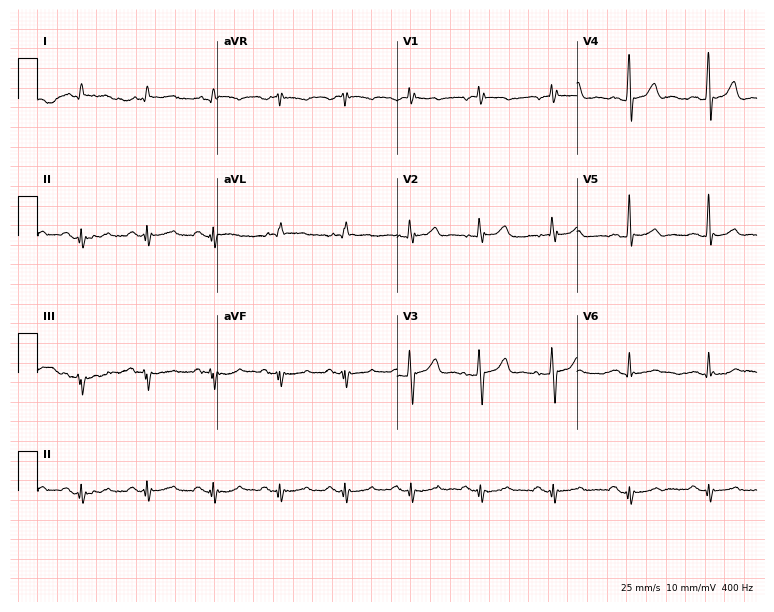
12-lead ECG from a 75-year-old man (7.3-second recording at 400 Hz). No first-degree AV block, right bundle branch block, left bundle branch block, sinus bradycardia, atrial fibrillation or sinus tachycardia recorded for this tracing.